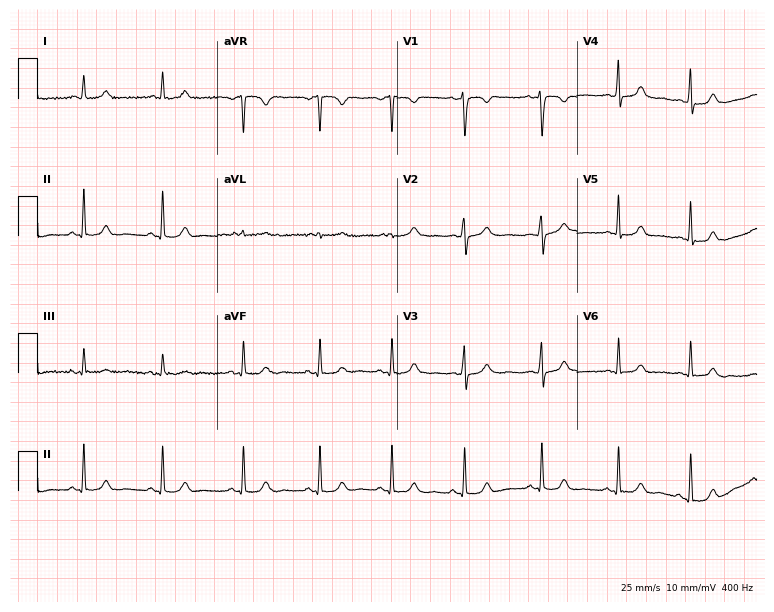
Electrocardiogram (7.3-second recording at 400 Hz), a 21-year-old female patient. Overall reading on record: normal ECG.